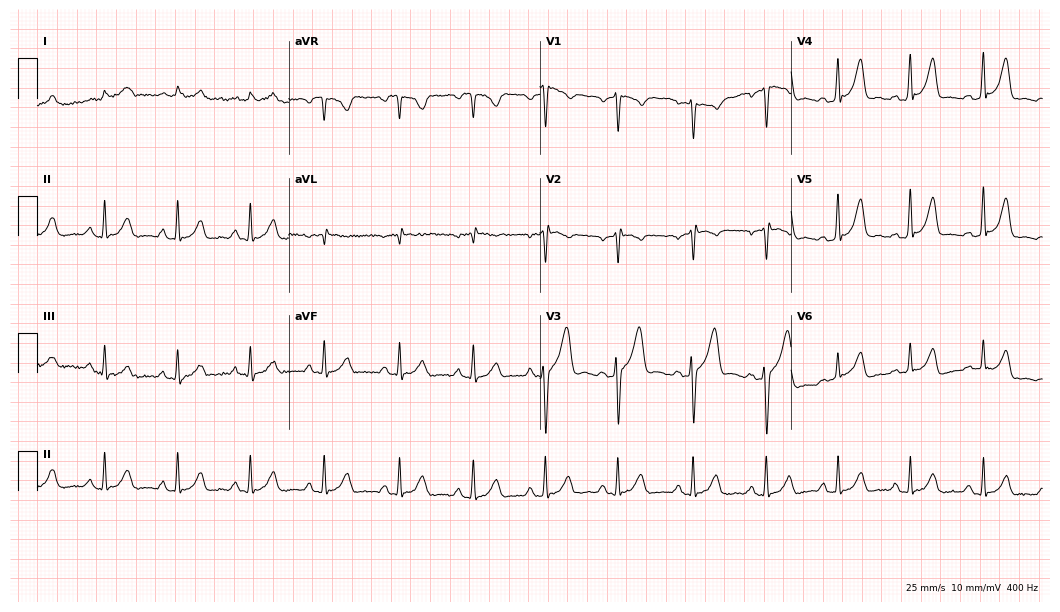
12-lead ECG from a male patient, 37 years old (10.2-second recording at 400 Hz). No first-degree AV block, right bundle branch block, left bundle branch block, sinus bradycardia, atrial fibrillation or sinus tachycardia recorded for this tracing. Other findings, if any, are not listed.